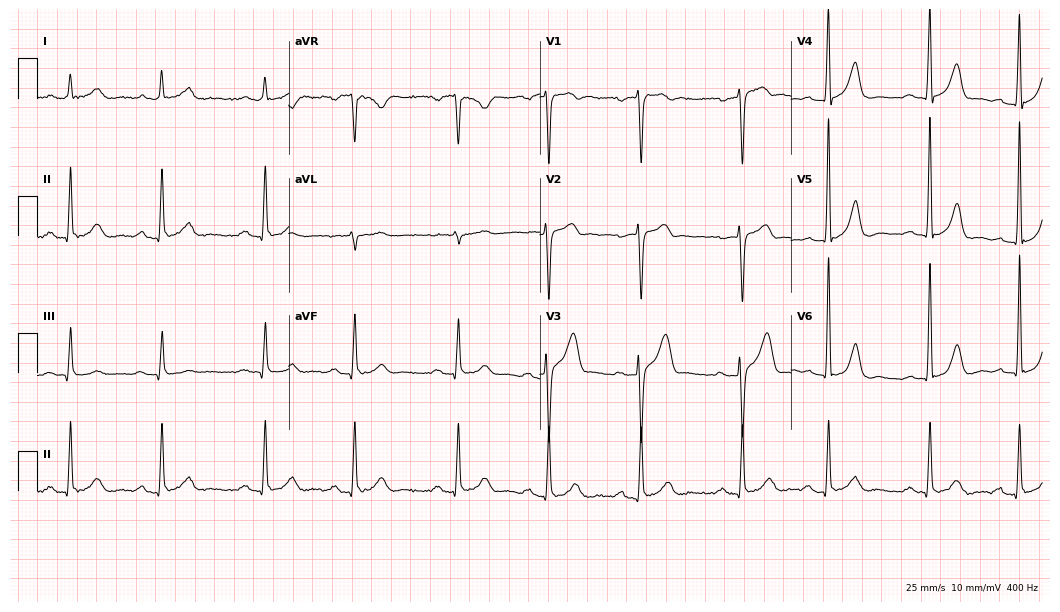
Electrocardiogram (10.2-second recording at 400 Hz), a 67-year-old male patient. Interpretation includes first-degree AV block.